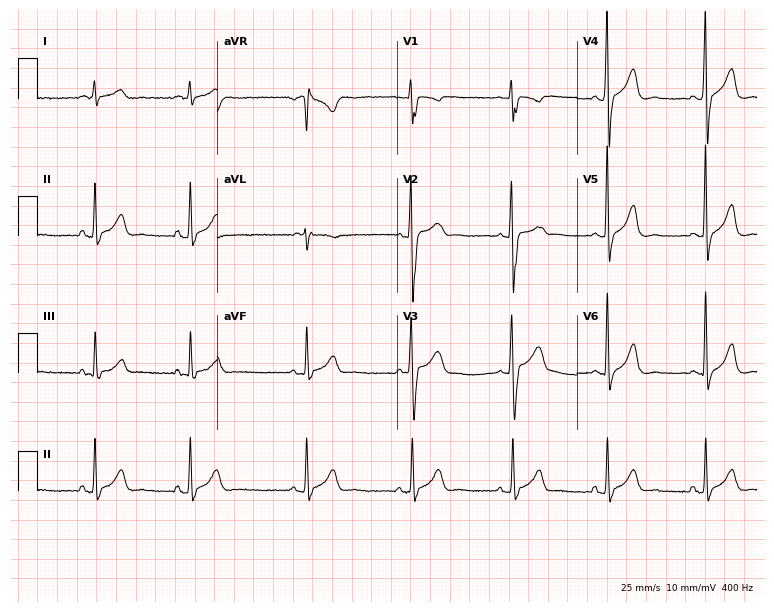
Resting 12-lead electrocardiogram (7.3-second recording at 400 Hz). Patient: a 22-year-old man. Read as a normal ECG.